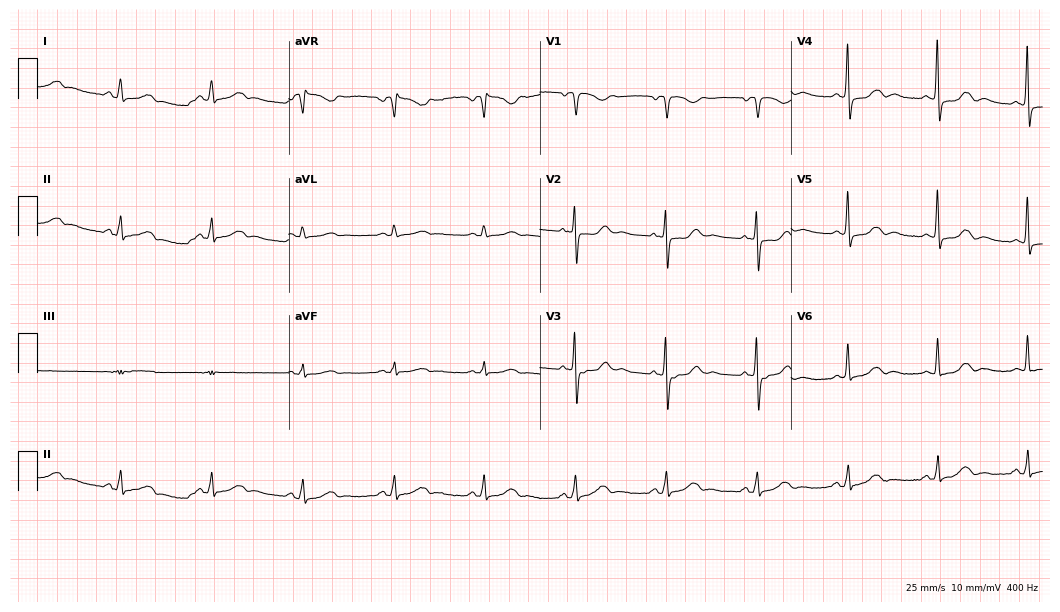
Standard 12-lead ECG recorded from a female, 67 years old. None of these six findings is recorded: first-degree AV block, right bundle branch block, left bundle branch block, sinus bradycardia, atrial fibrillation, sinus tachycardia.